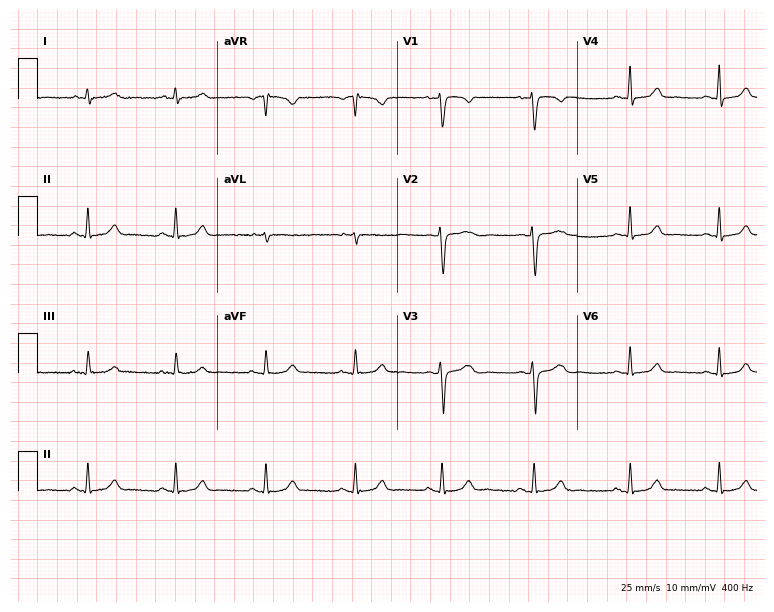
ECG — a 33-year-old female patient. Labelled as a normal ECG.